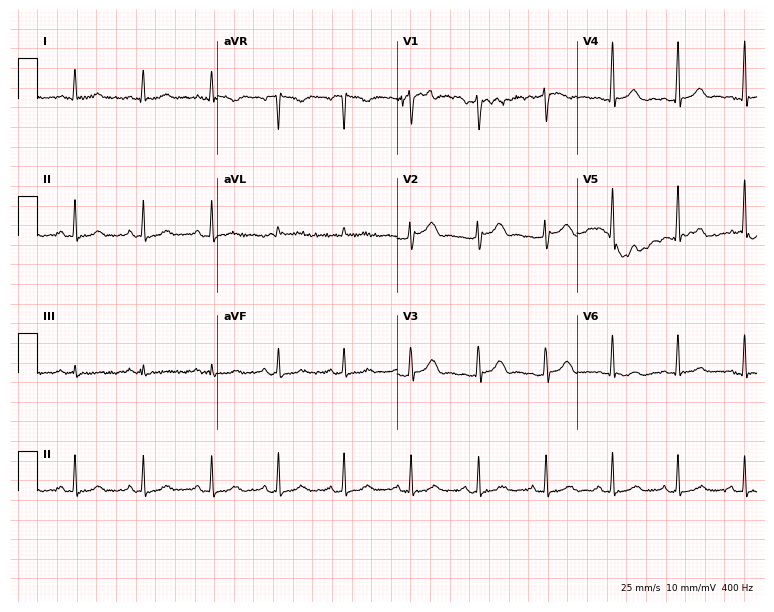
Electrocardiogram (7.3-second recording at 400 Hz), a 48-year-old woman. Of the six screened findings (first-degree AV block, right bundle branch block (RBBB), left bundle branch block (LBBB), sinus bradycardia, atrial fibrillation (AF), sinus tachycardia), none is recorded. Only these six findings were labelled.